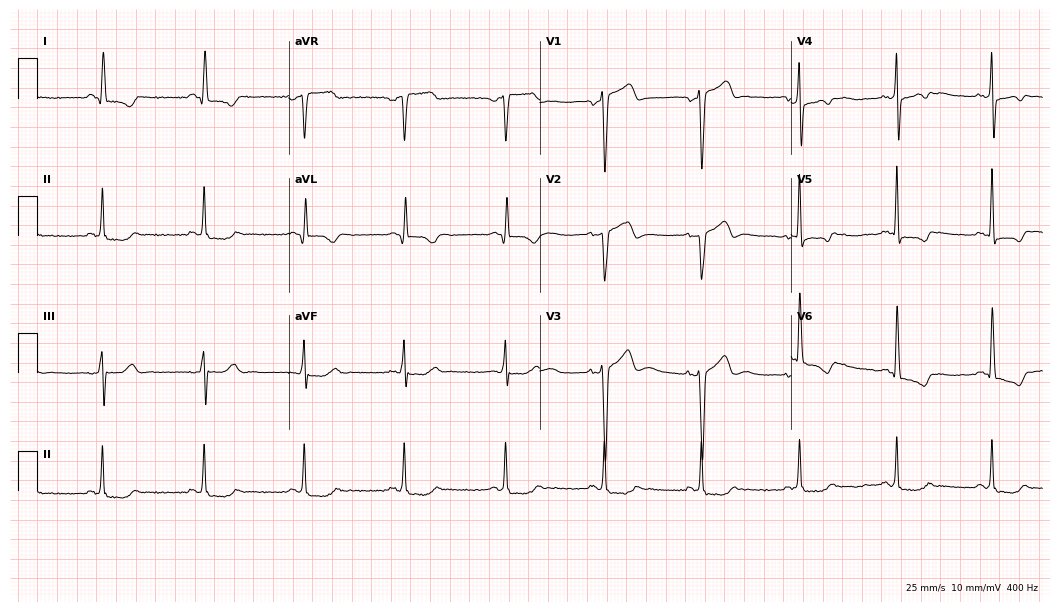
Electrocardiogram (10.2-second recording at 400 Hz), a 51-year-old male. Of the six screened findings (first-degree AV block, right bundle branch block (RBBB), left bundle branch block (LBBB), sinus bradycardia, atrial fibrillation (AF), sinus tachycardia), none is recorded. Findings outside these six are not listed.